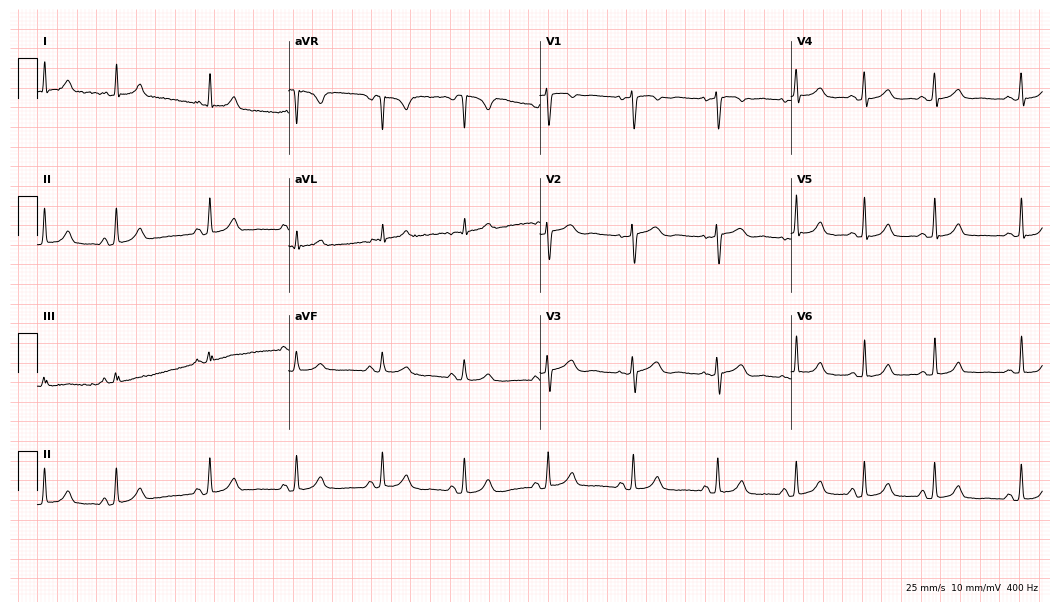
12-lead ECG from a woman, 30 years old. Screened for six findings — first-degree AV block, right bundle branch block (RBBB), left bundle branch block (LBBB), sinus bradycardia, atrial fibrillation (AF), sinus tachycardia — none is recorded.